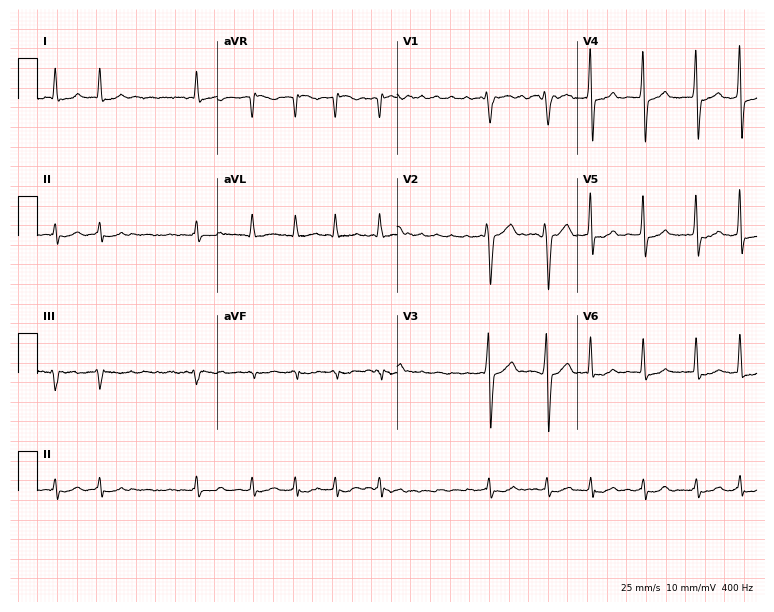
12-lead ECG from a man, 71 years old. Findings include atrial fibrillation.